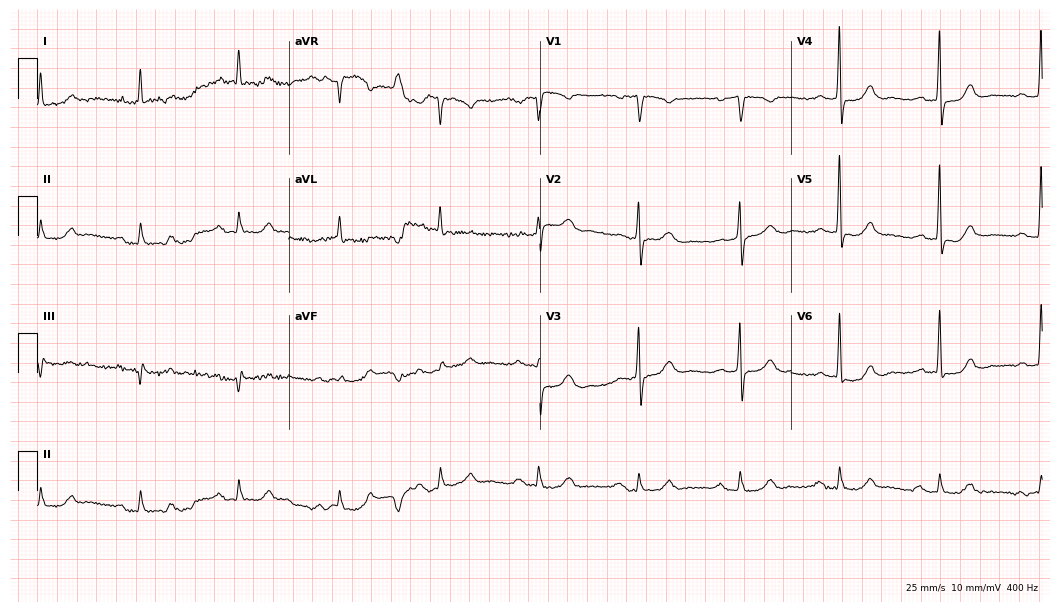
Electrocardiogram (10.2-second recording at 400 Hz), a female patient, 79 years old. Overall reading on record: normal ECG.